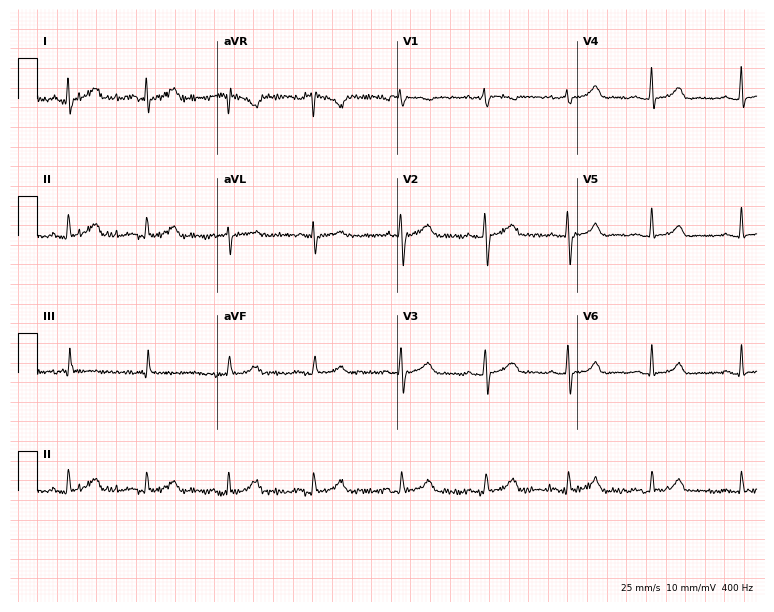
Resting 12-lead electrocardiogram (7.3-second recording at 400 Hz). Patient: a 21-year-old female. None of these six findings is recorded: first-degree AV block, right bundle branch block, left bundle branch block, sinus bradycardia, atrial fibrillation, sinus tachycardia.